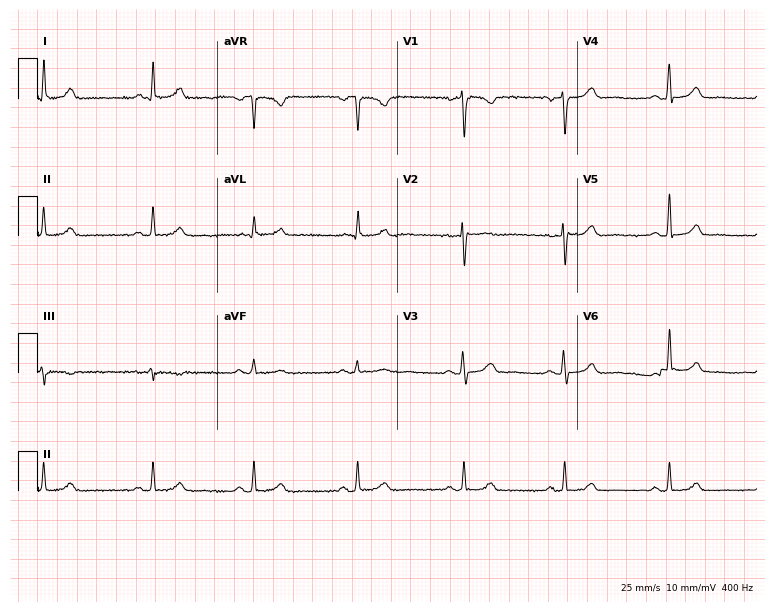
Standard 12-lead ECG recorded from a 45-year-old woman. Read as a normal ECG.